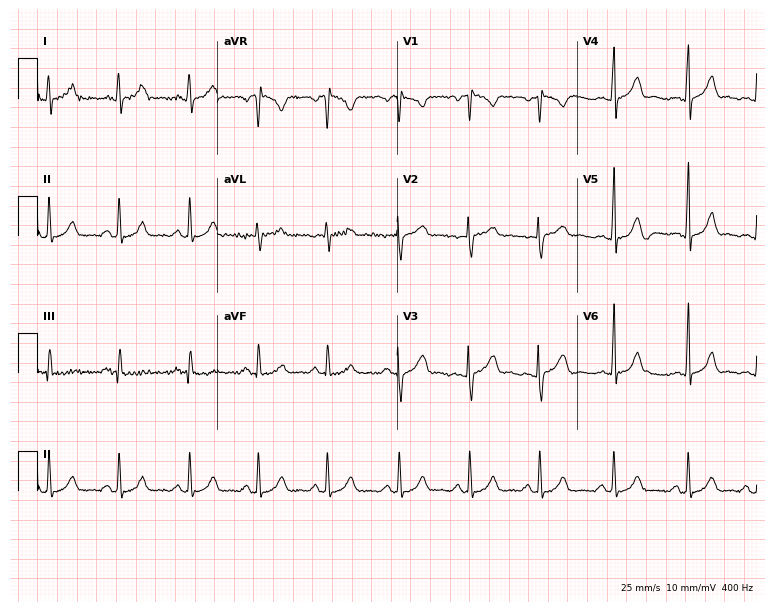
ECG — a 25-year-old female. Labelled as a normal ECG.